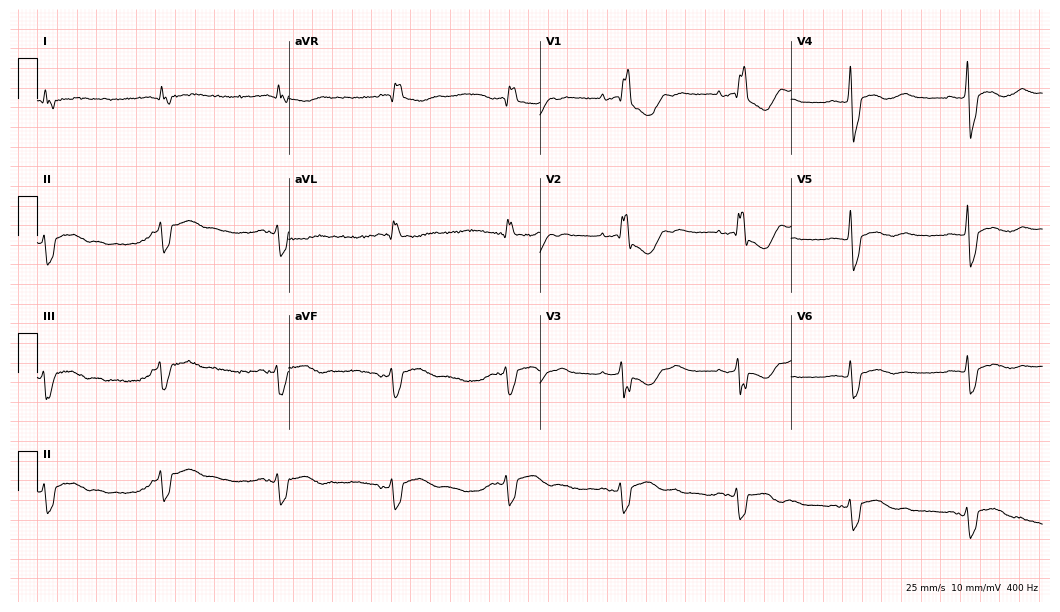
ECG — a 63-year-old female patient. Findings include right bundle branch block (RBBB).